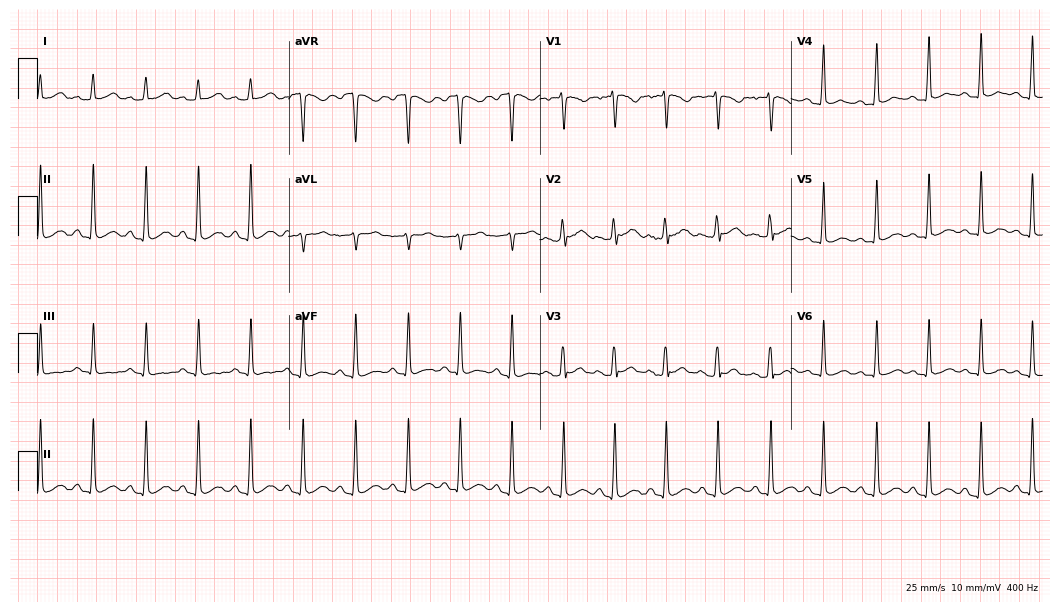
12-lead ECG from a 29-year-old female (10.2-second recording at 400 Hz). Shows sinus tachycardia (a sinus rate of 100 beats per minute or more).